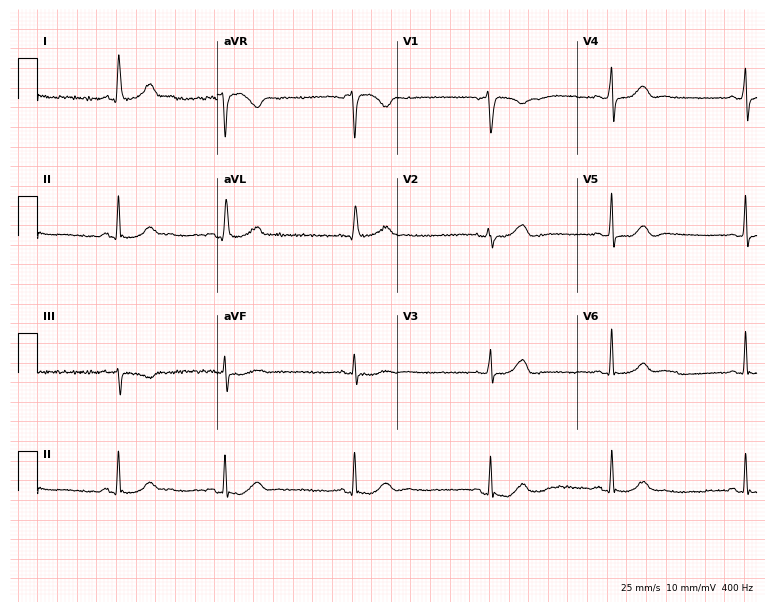
12-lead ECG from a 68-year-old female patient. Shows sinus bradycardia (a sinus rate of 50 beats per minute or less).